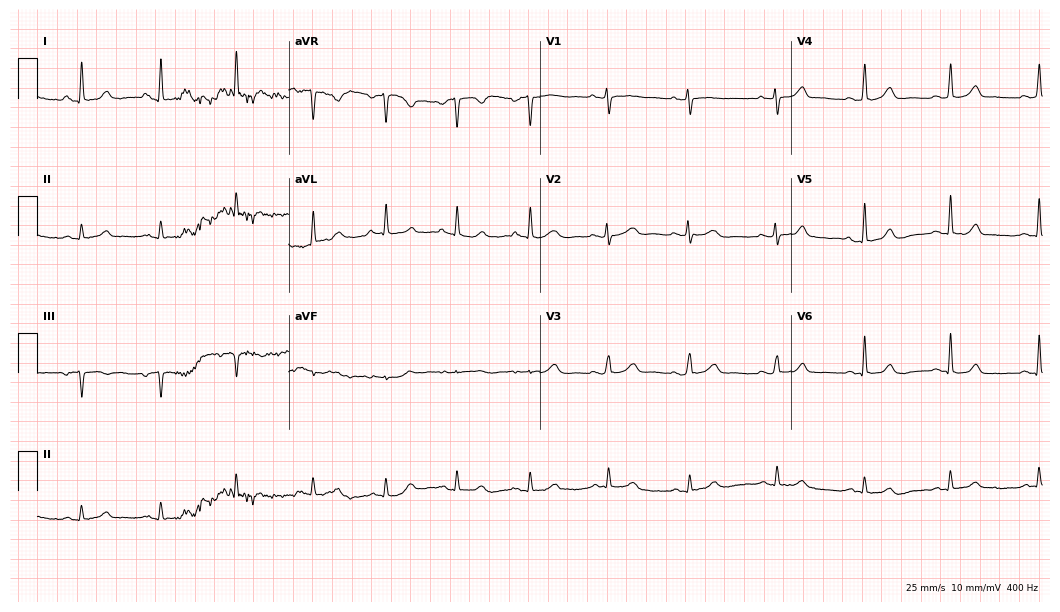
Resting 12-lead electrocardiogram (10.2-second recording at 400 Hz). Patient: a 29-year-old female. Read as a normal ECG.